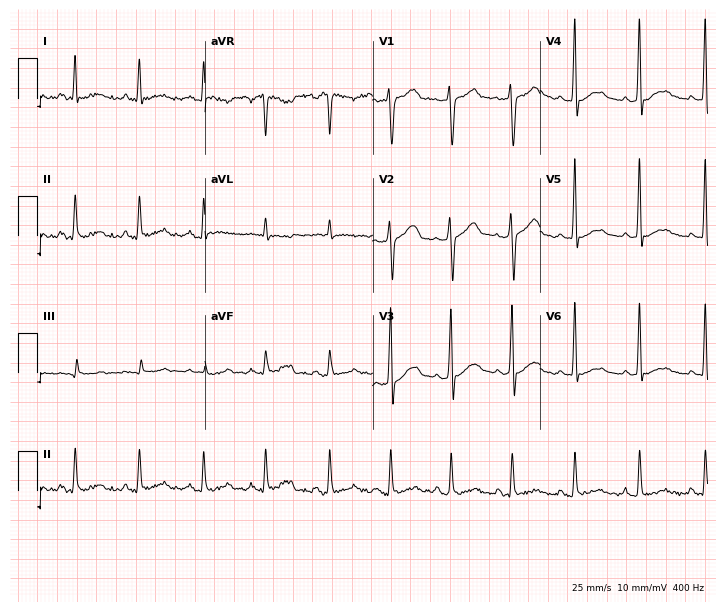
ECG — a male, 37 years old. Screened for six findings — first-degree AV block, right bundle branch block, left bundle branch block, sinus bradycardia, atrial fibrillation, sinus tachycardia — none is recorded. Only these six findings were labelled.